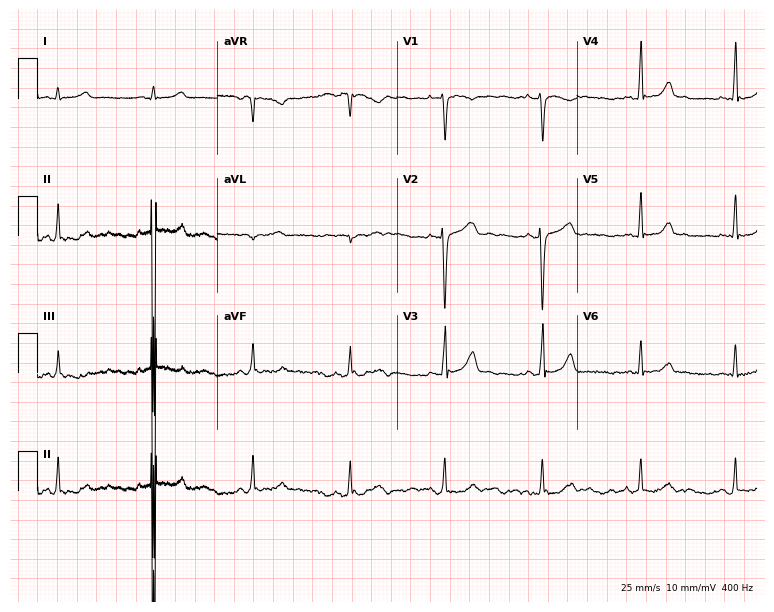
12-lead ECG from a female, 32 years old (7.3-second recording at 400 Hz). No first-degree AV block, right bundle branch block, left bundle branch block, sinus bradycardia, atrial fibrillation or sinus tachycardia recorded for this tracing.